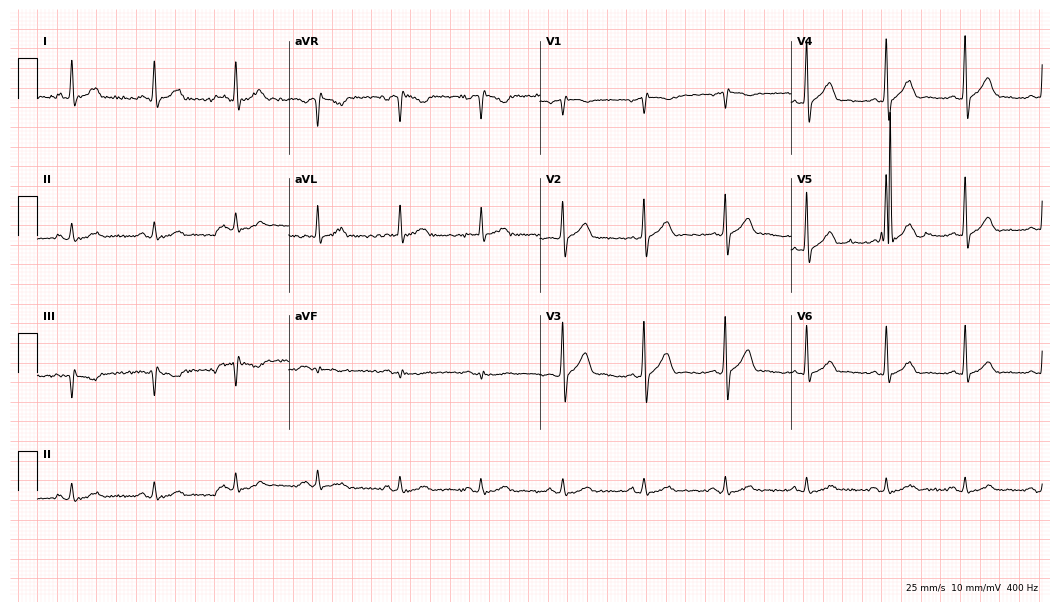
12-lead ECG from a 51-year-old man. No first-degree AV block, right bundle branch block, left bundle branch block, sinus bradycardia, atrial fibrillation or sinus tachycardia recorded for this tracing. Only these six findings were labelled.